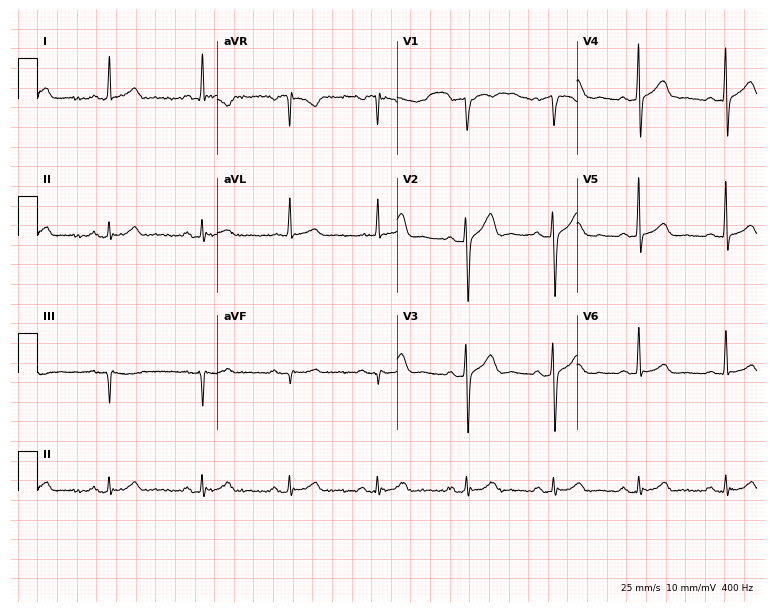
12-lead ECG from a male, 55 years old. Recorded interpretation: within normal limits.